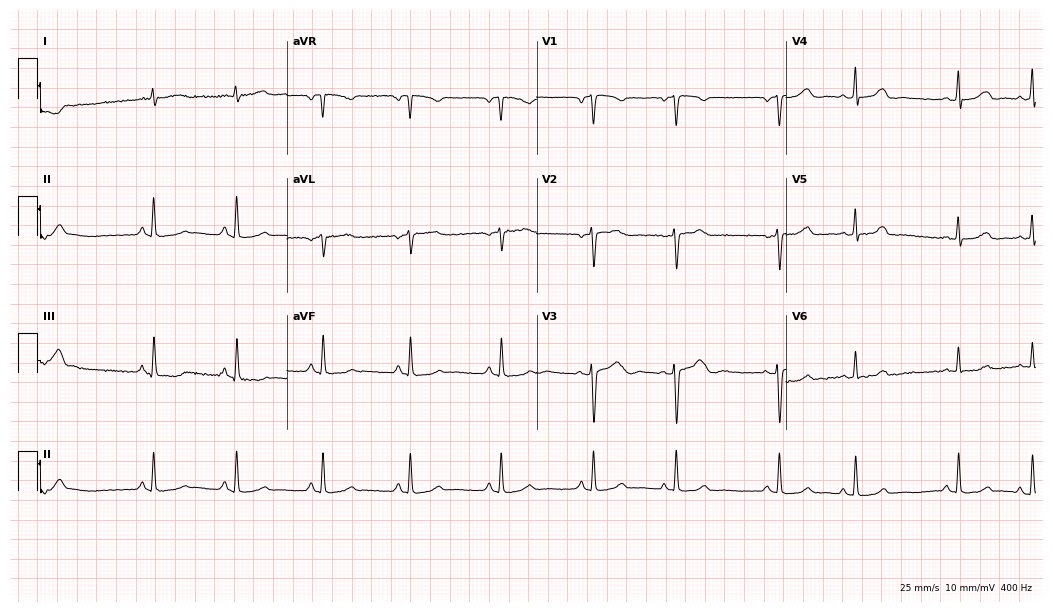
12-lead ECG from a woman, 41 years old. No first-degree AV block, right bundle branch block, left bundle branch block, sinus bradycardia, atrial fibrillation or sinus tachycardia recorded for this tracing.